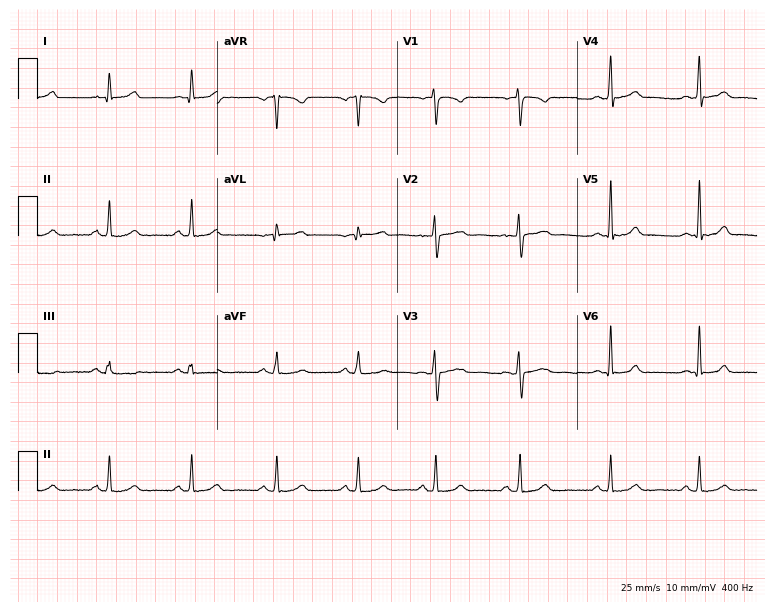
12-lead ECG from a 32-year-old woman. Labelled as a normal ECG.